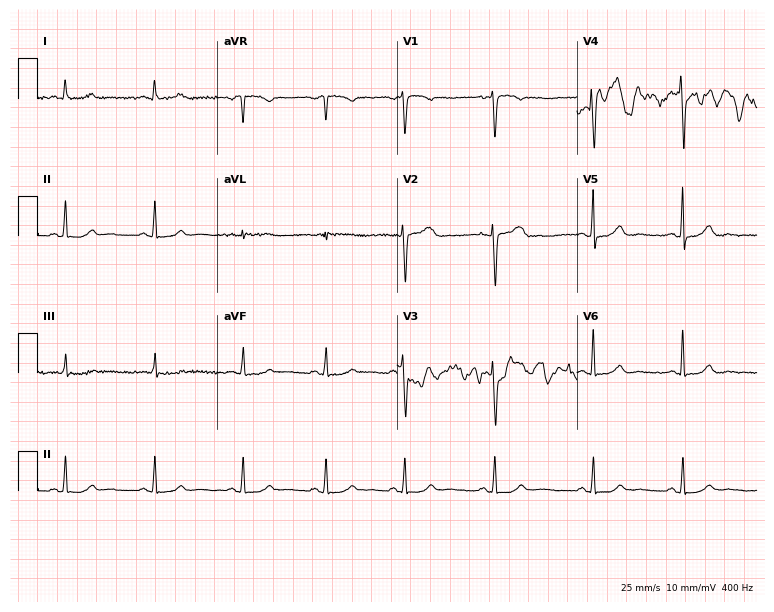
Resting 12-lead electrocardiogram. Patient: a female, 41 years old. Read as a normal ECG.